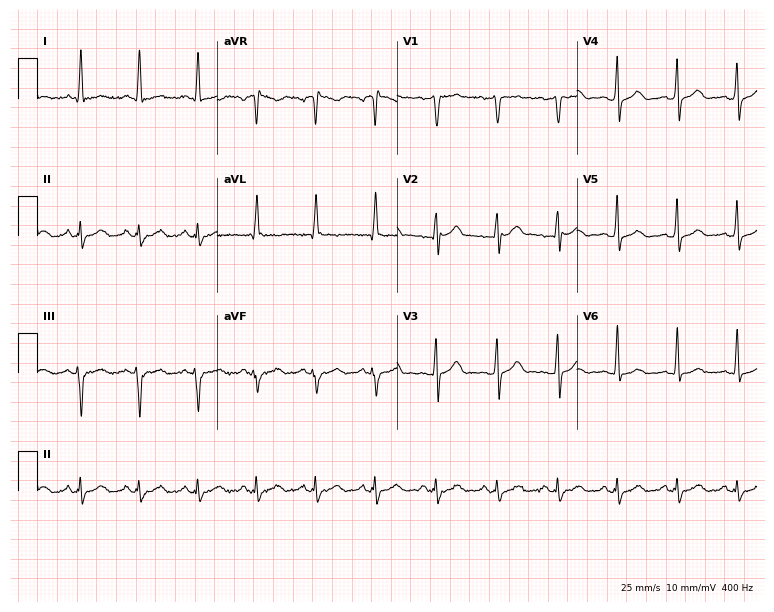
ECG (7.3-second recording at 400 Hz) — a 48-year-old man. Labelled as a normal ECG.